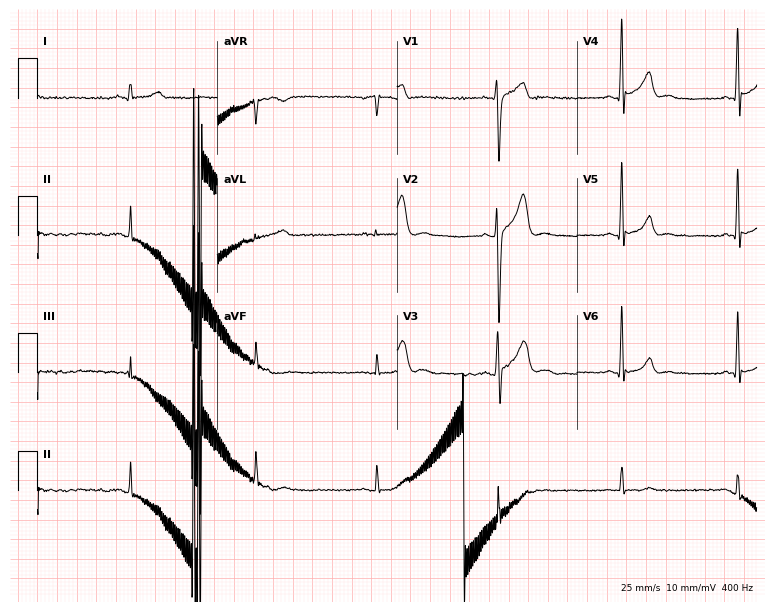
12-lead ECG from a 29-year-old male. Screened for six findings — first-degree AV block, right bundle branch block, left bundle branch block, sinus bradycardia, atrial fibrillation, sinus tachycardia — none is recorded. Other findings, if any, are not listed.